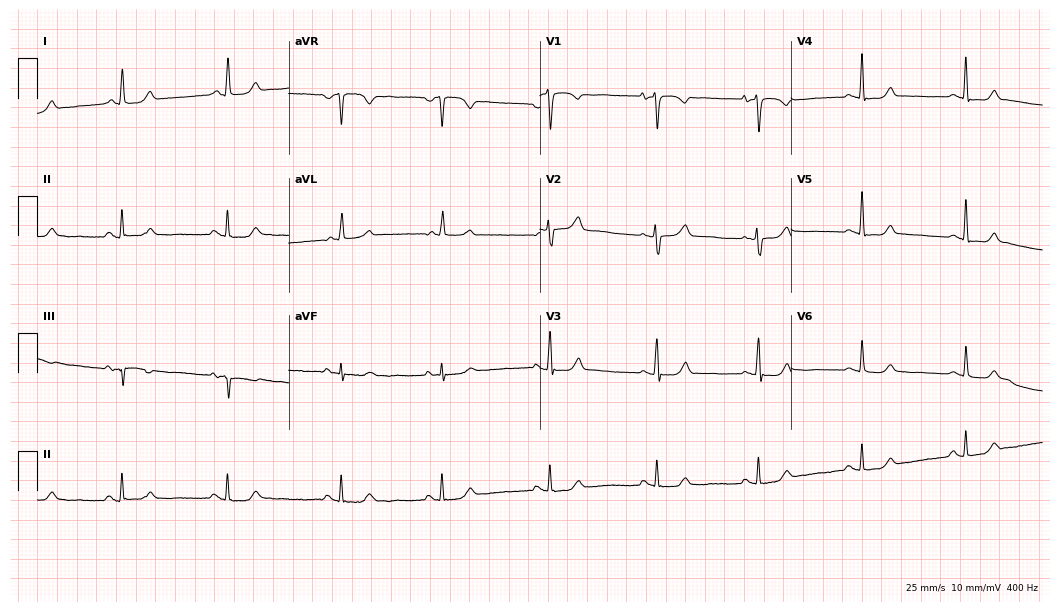
12-lead ECG from a female patient, 73 years old. Labelled as a normal ECG.